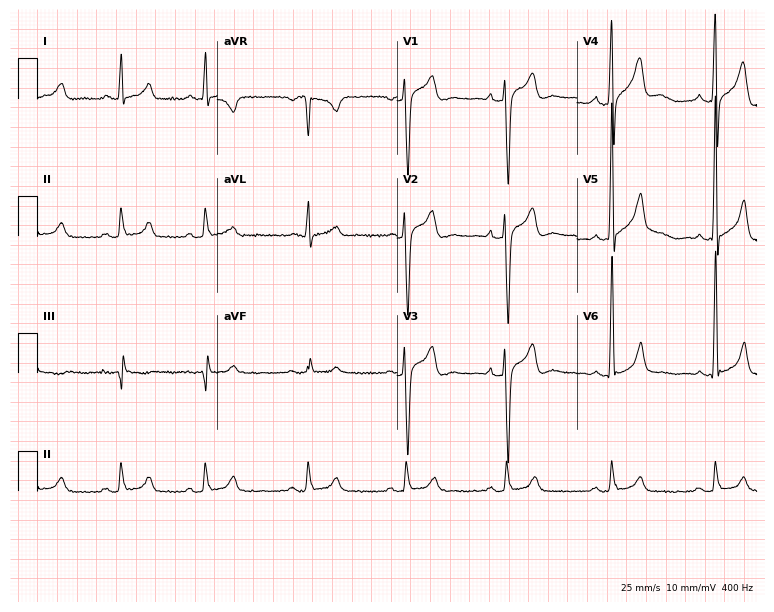
ECG (7.3-second recording at 400 Hz) — a 49-year-old man. Screened for six findings — first-degree AV block, right bundle branch block, left bundle branch block, sinus bradycardia, atrial fibrillation, sinus tachycardia — none is recorded. Only these six findings were labelled.